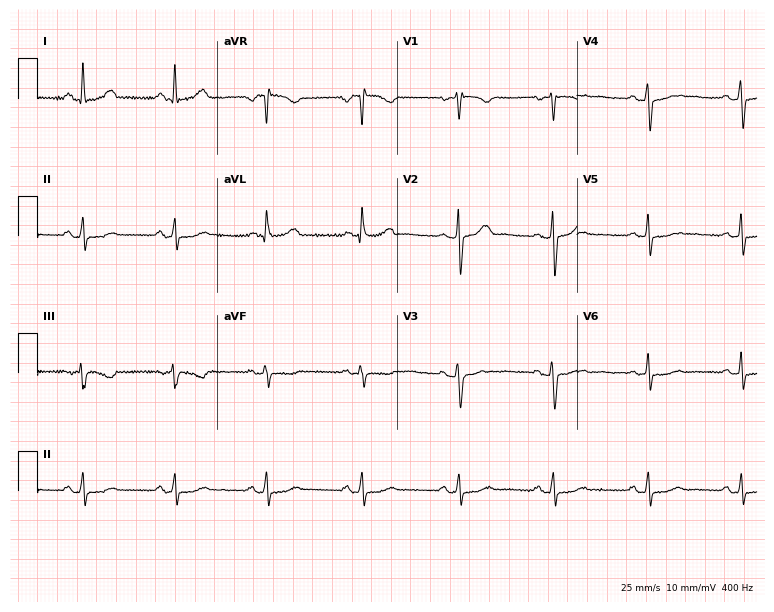
Standard 12-lead ECG recorded from a 35-year-old female patient (7.3-second recording at 400 Hz). Read as a normal ECG.